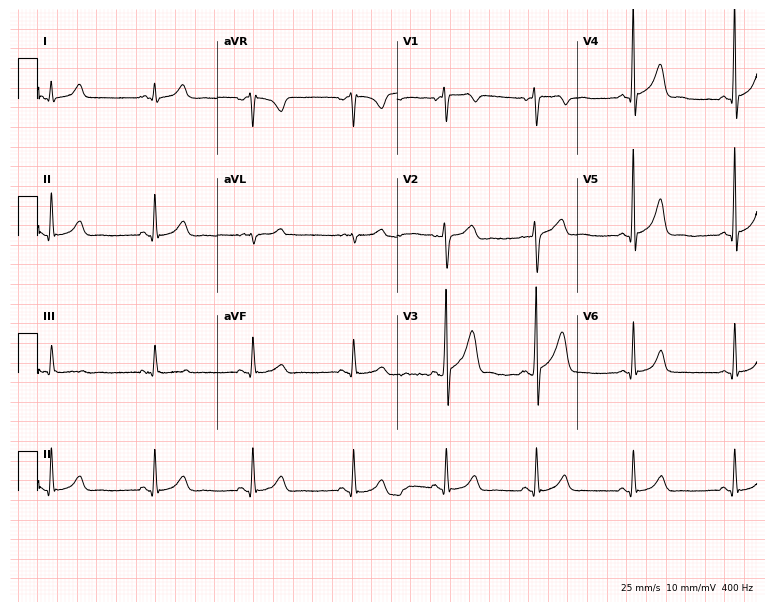
Resting 12-lead electrocardiogram (7.3-second recording at 400 Hz). Patient: a male, 27 years old. Read as a normal ECG.